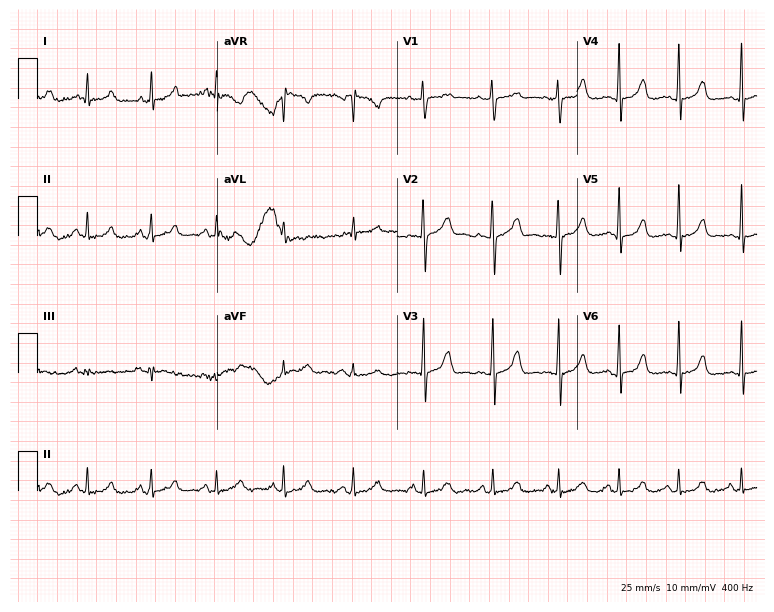
Electrocardiogram, a 32-year-old female. Of the six screened findings (first-degree AV block, right bundle branch block, left bundle branch block, sinus bradycardia, atrial fibrillation, sinus tachycardia), none is recorded. Findings outside these six are not listed.